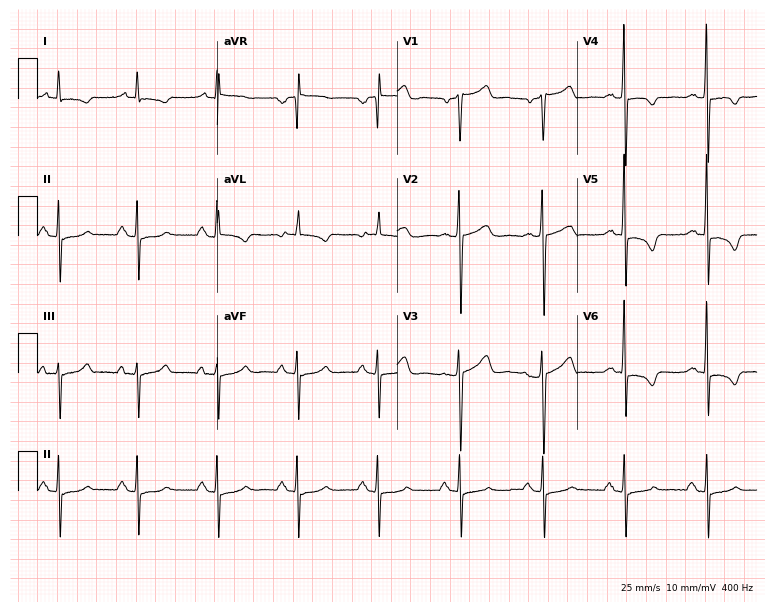
ECG (7.3-second recording at 400 Hz) — a man, 74 years old. Screened for six findings — first-degree AV block, right bundle branch block, left bundle branch block, sinus bradycardia, atrial fibrillation, sinus tachycardia — none is recorded.